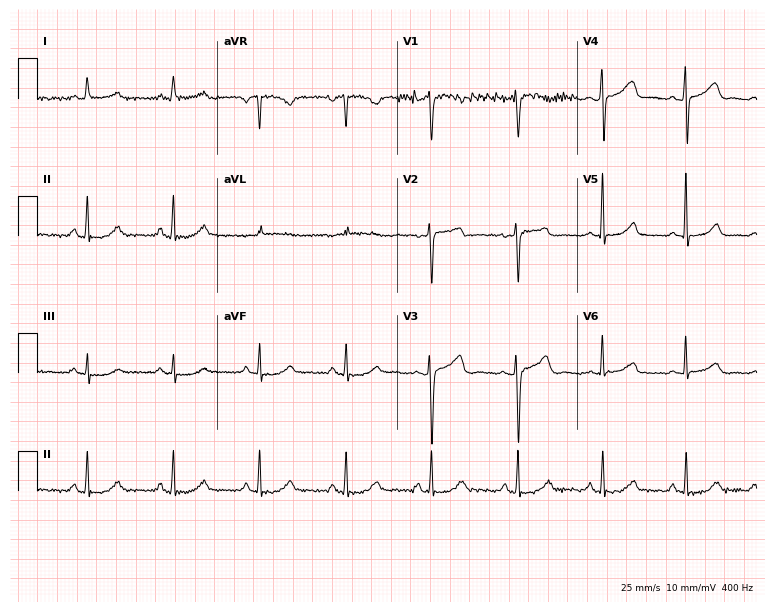
12-lead ECG from a woman, 58 years old (7.3-second recording at 400 Hz). No first-degree AV block, right bundle branch block, left bundle branch block, sinus bradycardia, atrial fibrillation or sinus tachycardia recorded for this tracing. Only these six findings were labelled.